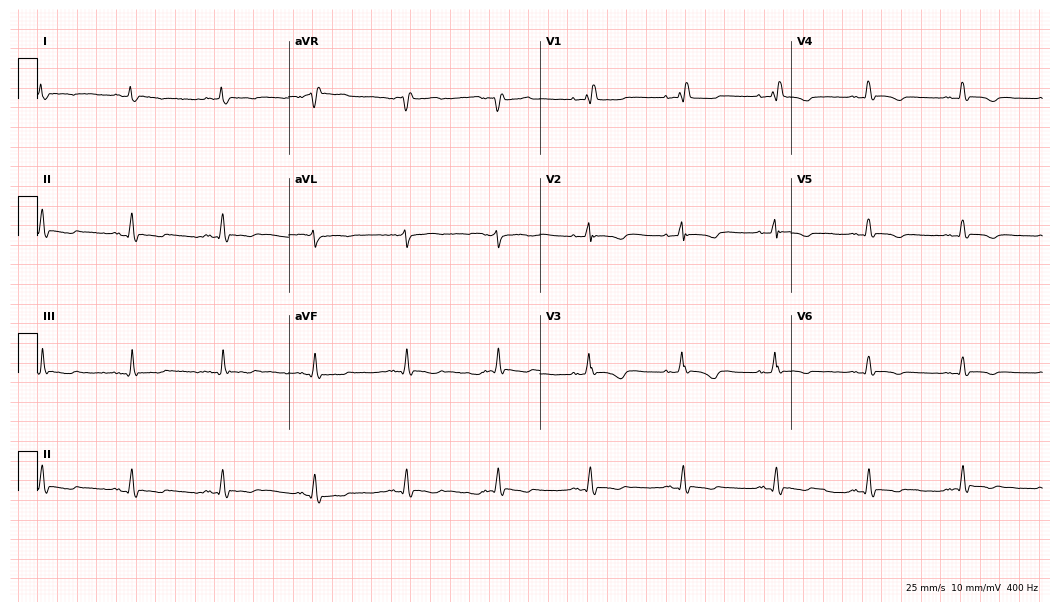
12-lead ECG from a woman, 57 years old. Findings include right bundle branch block (RBBB).